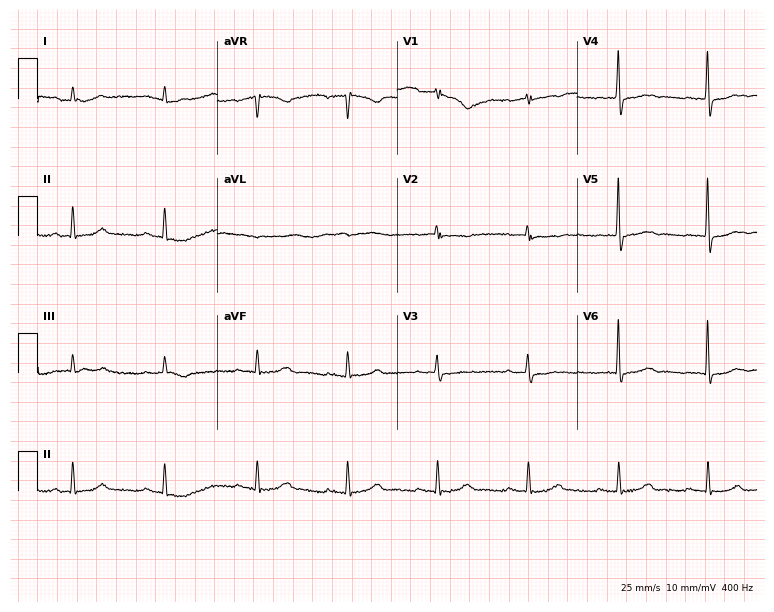
12-lead ECG from a female, 63 years old. No first-degree AV block, right bundle branch block, left bundle branch block, sinus bradycardia, atrial fibrillation or sinus tachycardia recorded for this tracing.